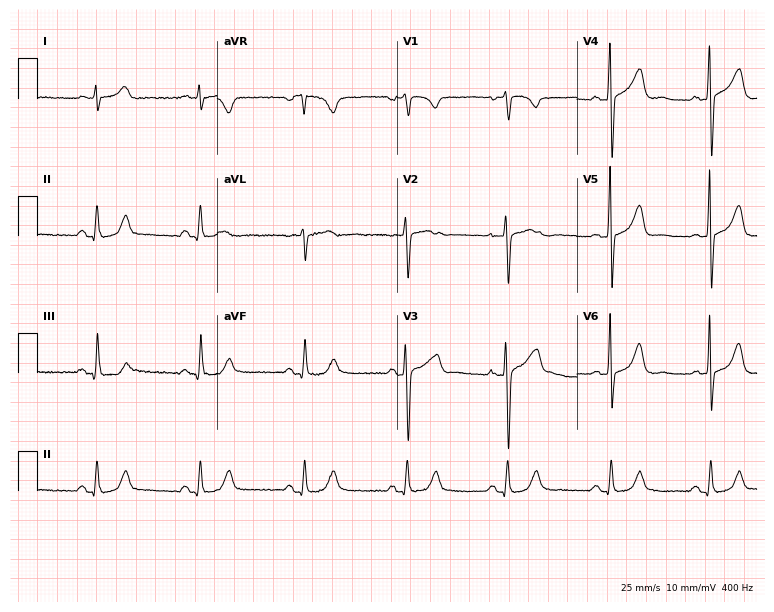
Electrocardiogram, a 64-year-old man. Overall reading on record: normal ECG.